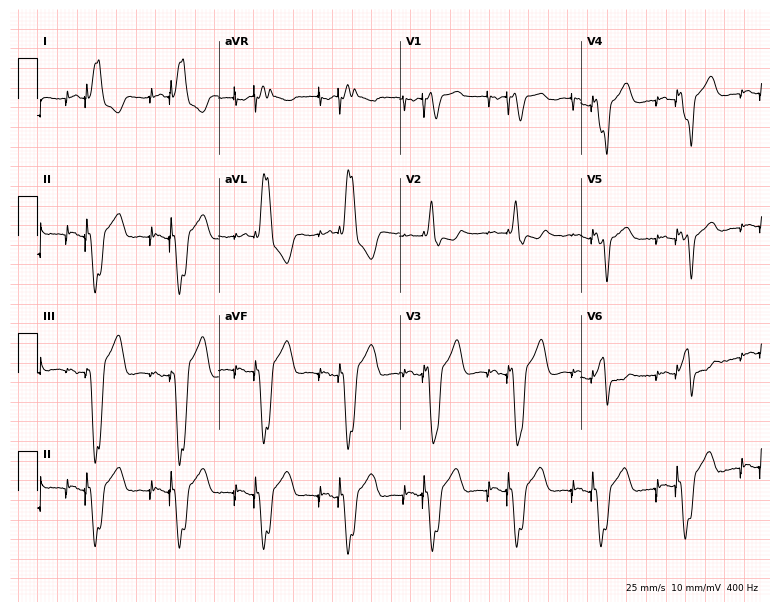
Electrocardiogram (7.4-second recording at 400 Hz), a man, 76 years old. Of the six screened findings (first-degree AV block, right bundle branch block, left bundle branch block, sinus bradycardia, atrial fibrillation, sinus tachycardia), none is recorded.